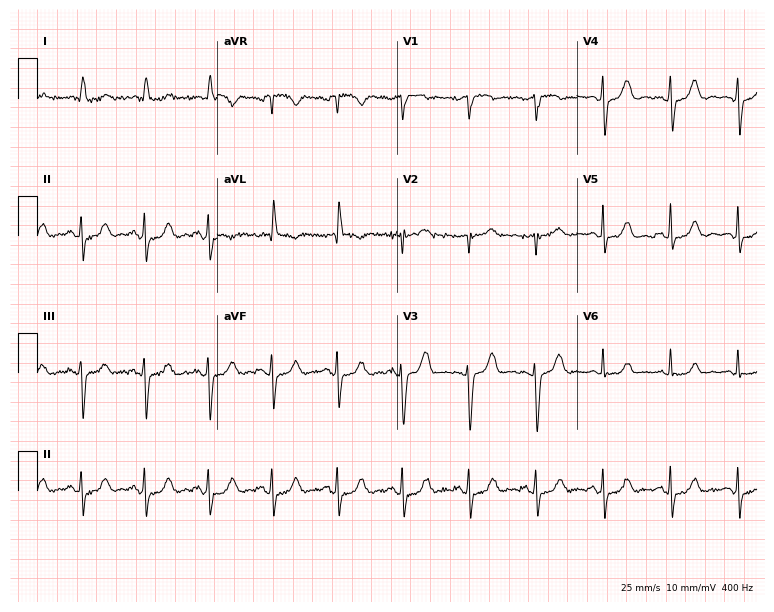
ECG — a 77-year-old female patient. Labelled as a normal ECG.